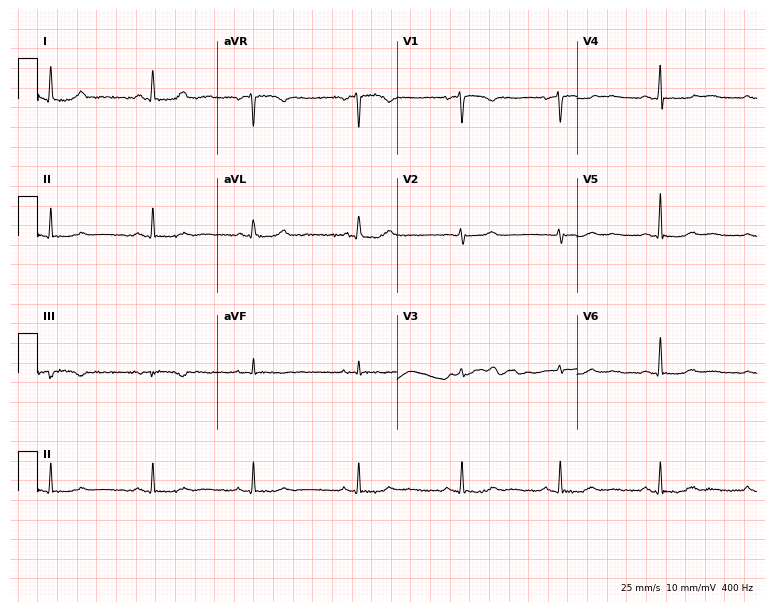
Standard 12-lead ECG recorded from a 62-year-old female patient (7.3-second recording at 400 Hz). None of these six findings is recorded: first-degree AV block, right bundle branch block, left bundle branch block, sinus bradycardia, atrial fibrillation, sinus tachycardia.